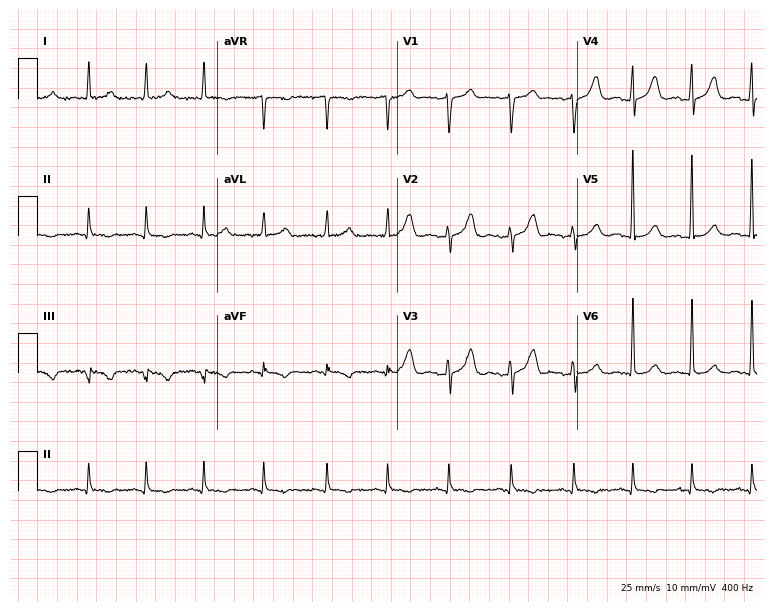
Electrocardiogram (7.3-second recording at 400 Hz), a 57-year-old female patient. Of the six screened findings (first-degree AV block, right bundle branch block (RBBB), left bundle branch block (LBBB), sinus bradycardia, atrial fibrillation (AF), sinus tachycardia), none is recorded.